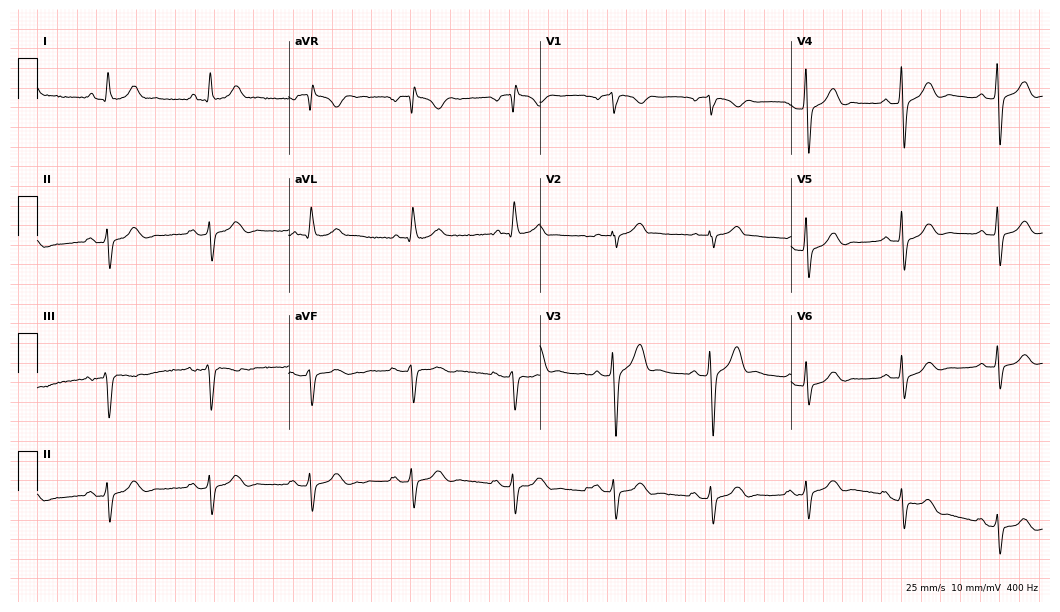
Resting 12-lead electrocardiogram (10.2-second recording at 400 Hz). Patient: a male, 62 years old. None of these six findings is recorded: first-degree AV block, right bundle branch block, left bundle branch block, sinus bradycardia, atrial fibrillation, sinus tachycardia. Other findings, if any, are not listed.